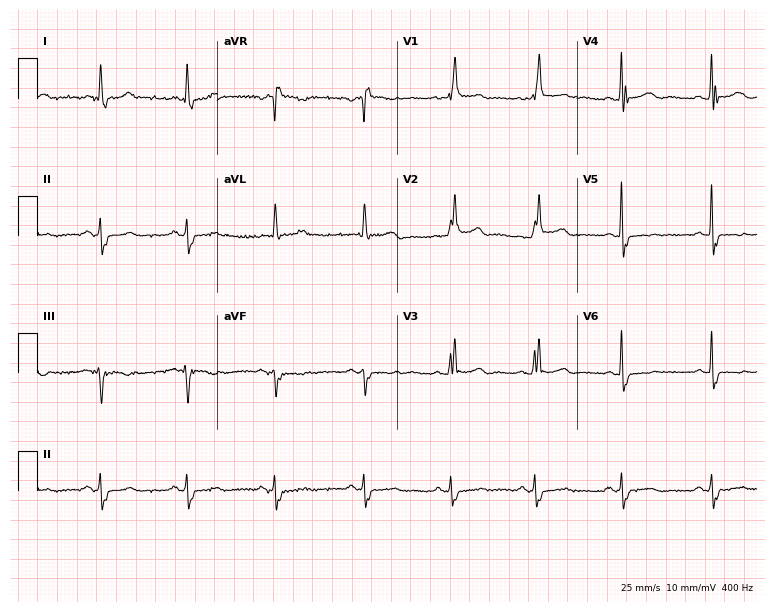
Standard 12-lead ECG recorded from a female patient, 79 years old (7.3-second recording at 400 Hz). The tracing shows right bundle branch block (RBBB).